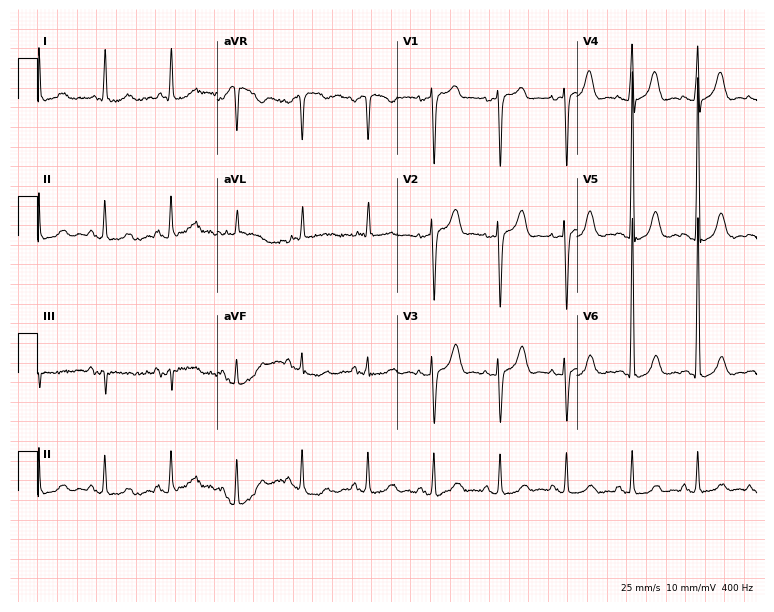
12-lead ECG from a female patient, 84 years old (7.3-second recording at 400 Hz). No first-degree AV block, right bundle branch block (RBBB), left bundle branch block (LBBB), sinus bradycardia, atrial fibrillation (AF) or sinus tachycardia recorded for this tracing. Findings outside these six are not listed.